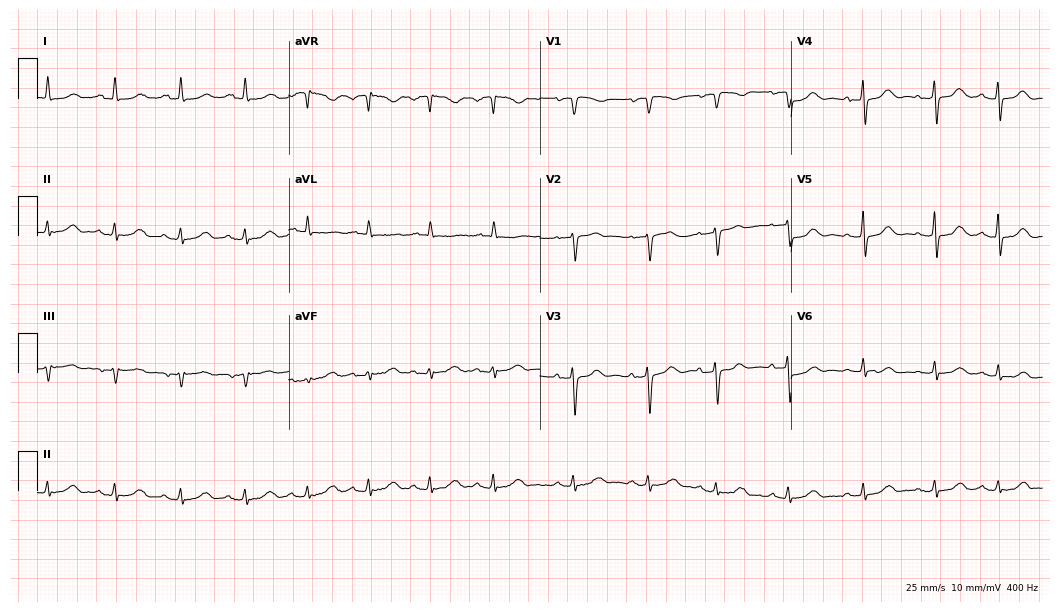
Electrocardiogram, a female patient, 67 years old. Of the six screened findings (first-degree AV block, right bundle branch block, left bundle branch block, sinus bradycardia, atrial fibrillation, sinus tachycardia), none is recorded.